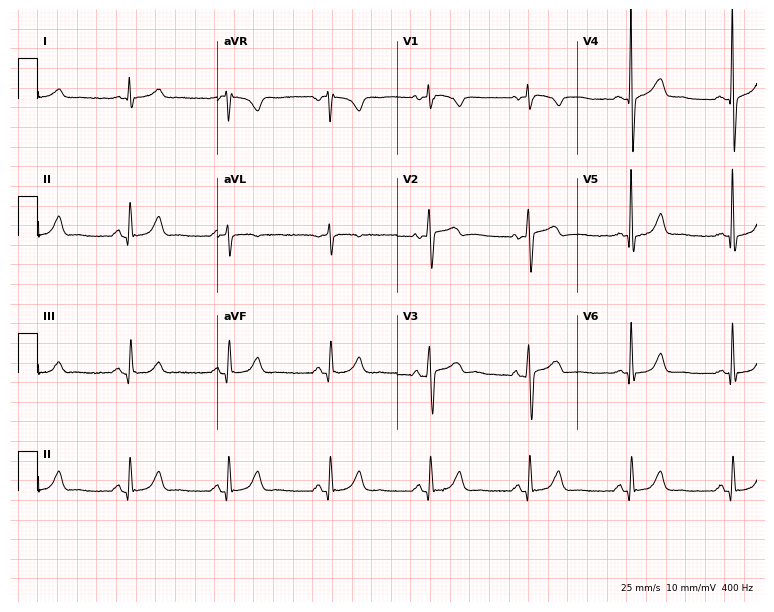
Standard 12-lead ECG recorded from a male patient, 65 years old. Read as a normal ECG.